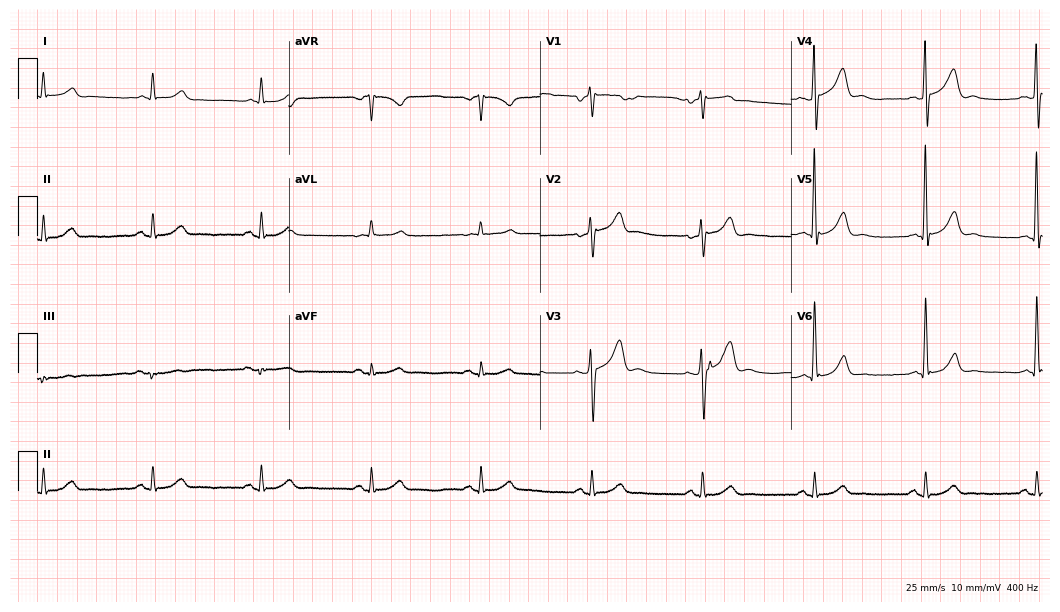
ECG (10.2-second recording at 400 Hz) — a male, 67 years old. Labelled as a normal ECG.